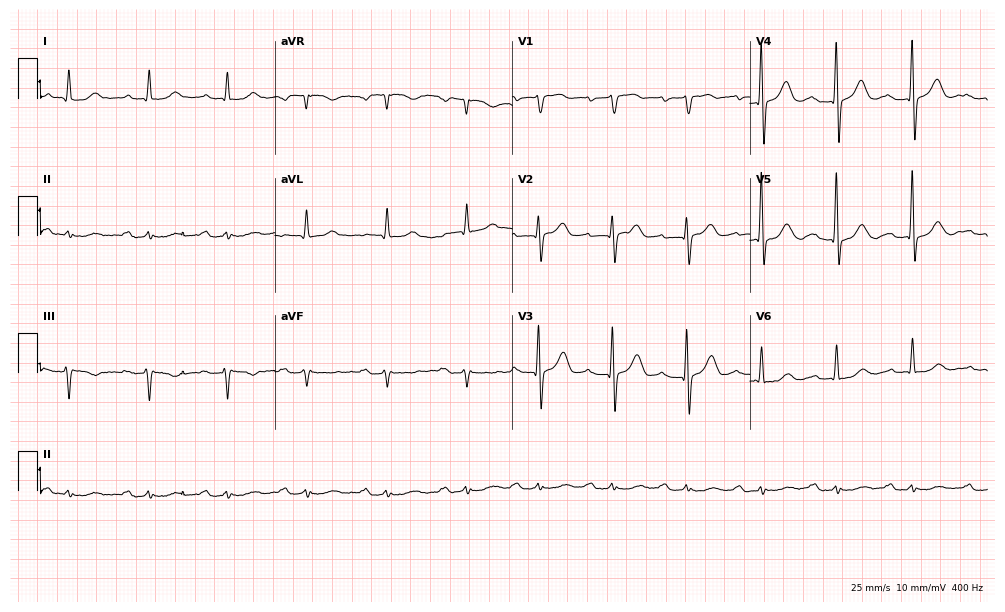
12-lead ECG (9.7-second recording at 400 Hz) from a man, 65 years old. Findings include first-degree AV block.